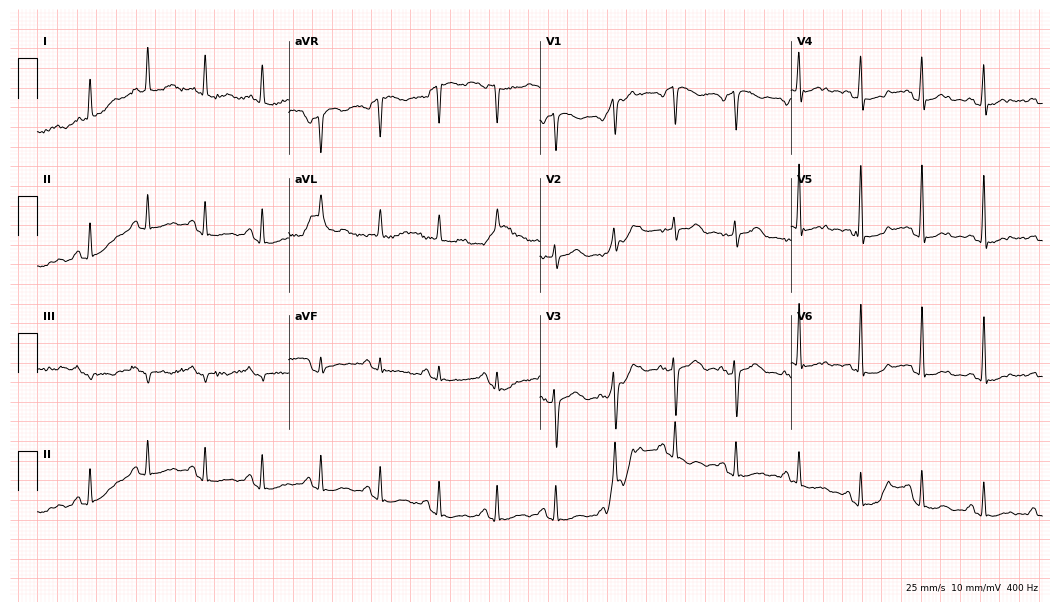
ECG — a female, 60 years old. Screened for six findings — first-degree AV block, right bundle branch block, left bundle branch block, sinus bradycardia, atrial fibrillation, sinus tachycardia — none is recorded. Findings outside these six are not listed.